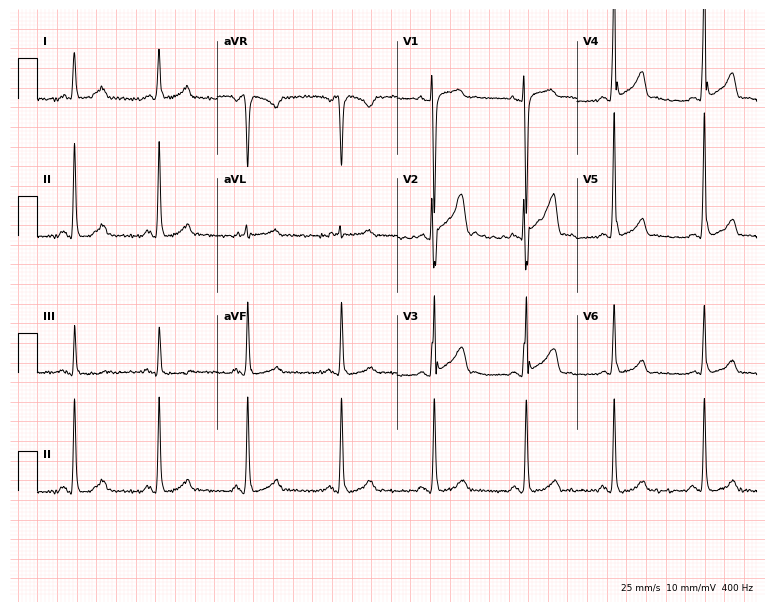
ECG — a 53-year-old man. Screened for six findings — first-degree AV block, right bundle branch block (RBBB), left bundle branch block (LBBB), sinus bradycardia, atrial fibrillation (AF), sinus tachycardia — none is recorded. Other findings, if any, are not listed.